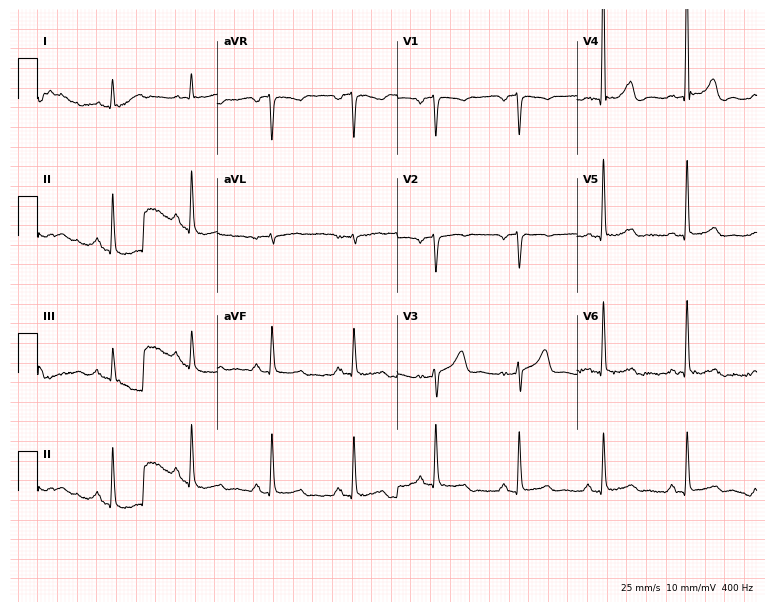
Electrocardiogram (7.3-second recording at 400 Hz), a 68-year-old male patient. Of the six screened findings (first-degree AV block, right bundle branch block, left bundle branch block, sinus bradycardia, atrial fibrillation, sinus tachycardia), none is recorded.